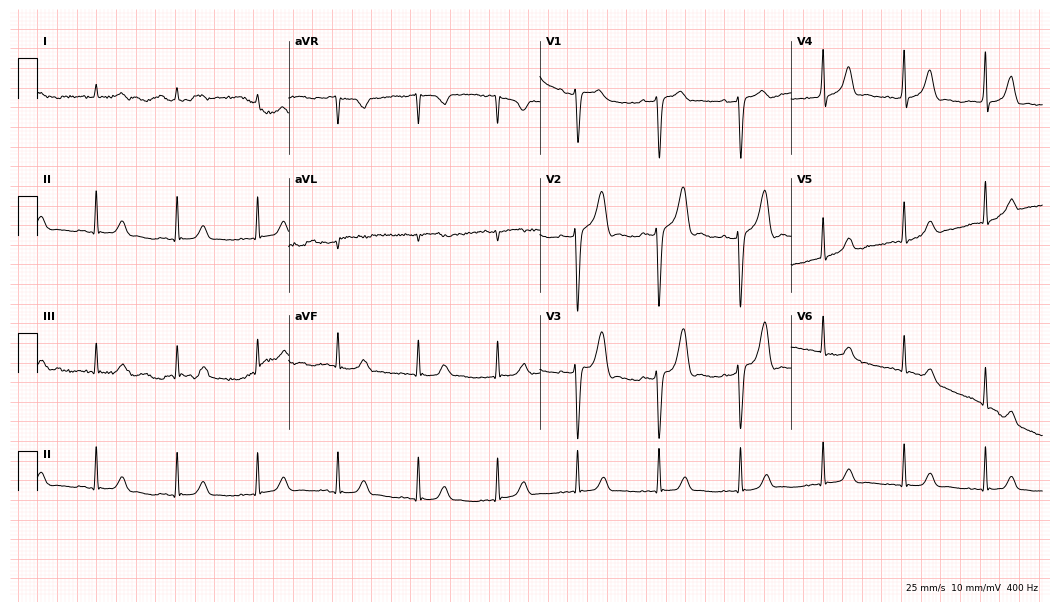
Resting 12-lead electrocardiogram. Patient: a man, 52 years old. Read as a normal ECG.